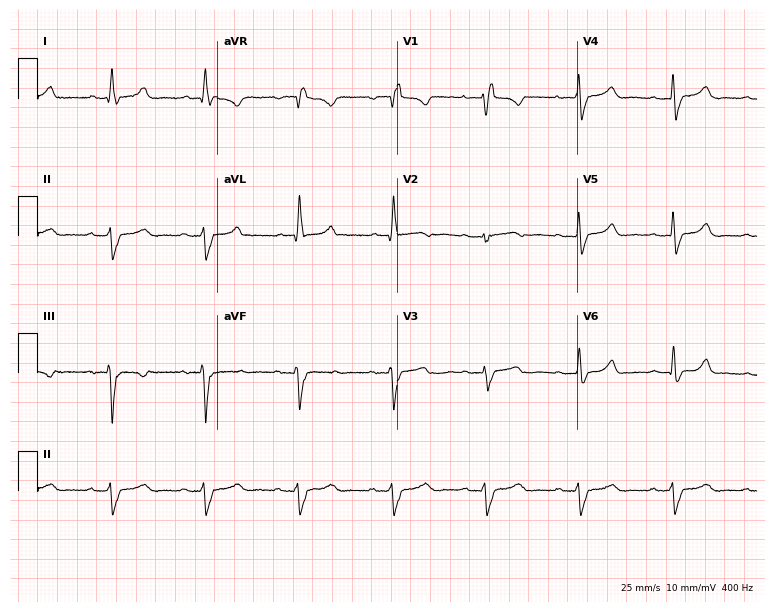
12-lead ECG (7.3-second recording at 400 Hz) from a 39-year-old female patient. Findings include right bundle branch block.